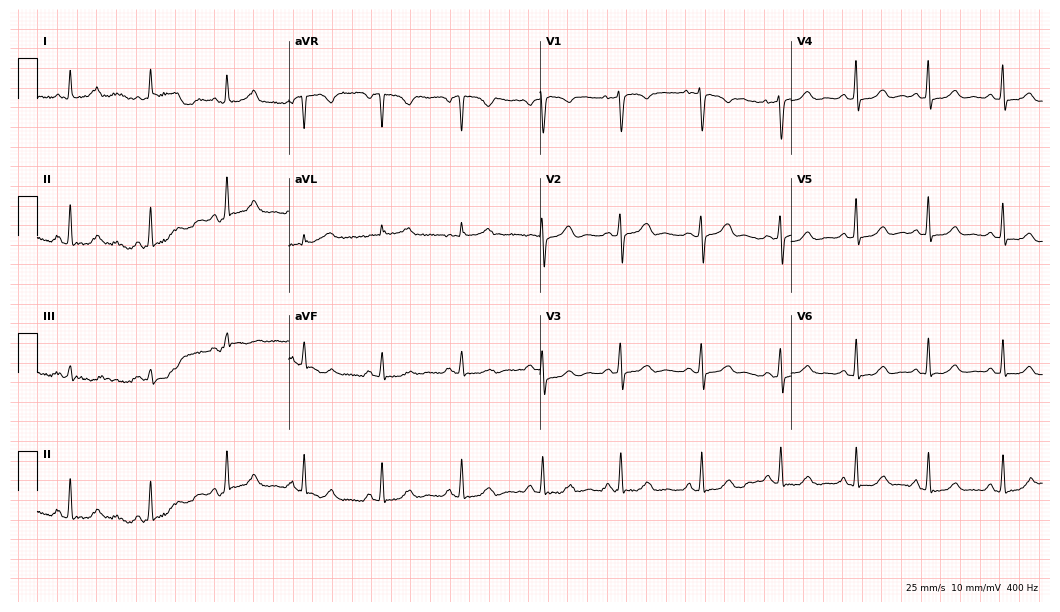
12-lead ECG from a 50-year-old woman (10.2-second recording at 400 Hz). No first-degree AV block, right bundle branch block, left bundle branch block, sinus bradycardia, atrial fibrillation or sinus tachycardia recorded for this tracing.